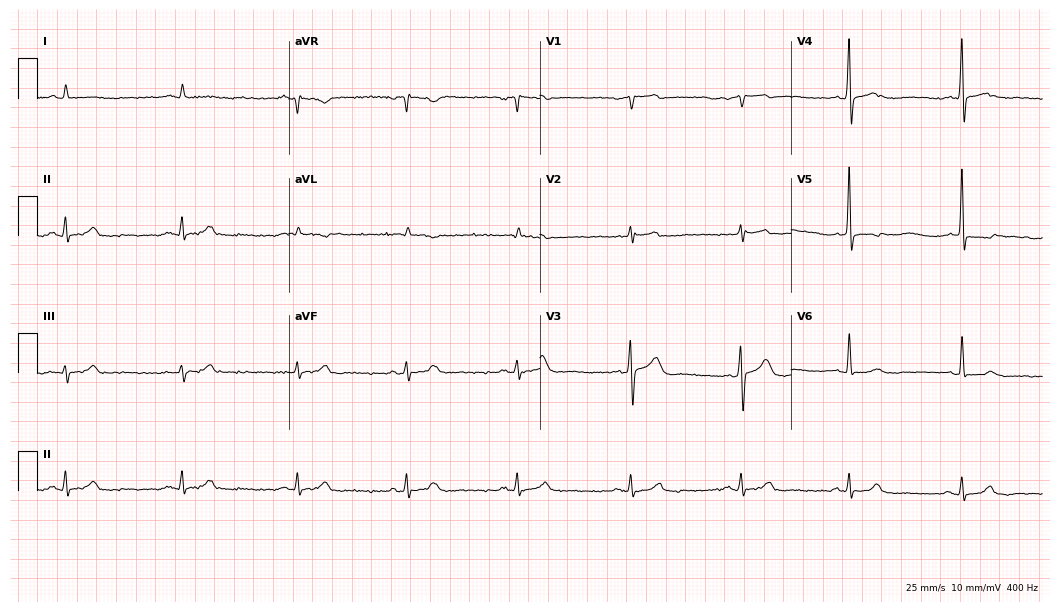
Electrocardiogram, a 63-year-old male. Of the six screened findings (first-degree AV block, right bundle branch block, left bundle branch block, sinus bradycardia, atrial fibrillation, sinus tachycardia), none is recorded.